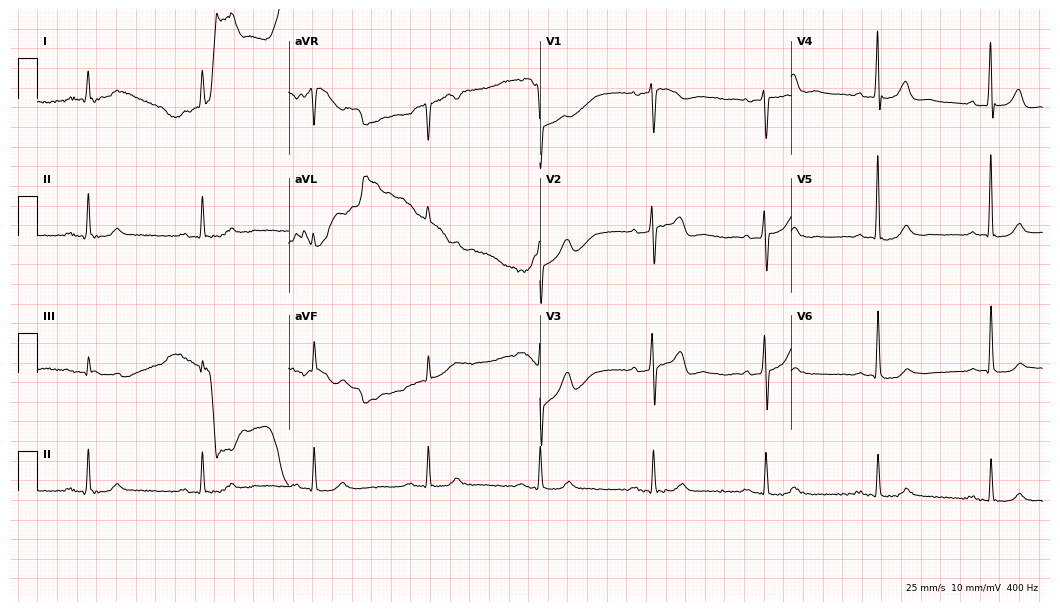
Standard 12-lead ECG recorded from a male patient, 76 years old. None of these six findings is recorded: first-degree AV block, right bundle branch block, left bundle branch block, sinus bradycardia, atrial fibrillation, sinus tachycardia. Other findings, if any, are not listed.